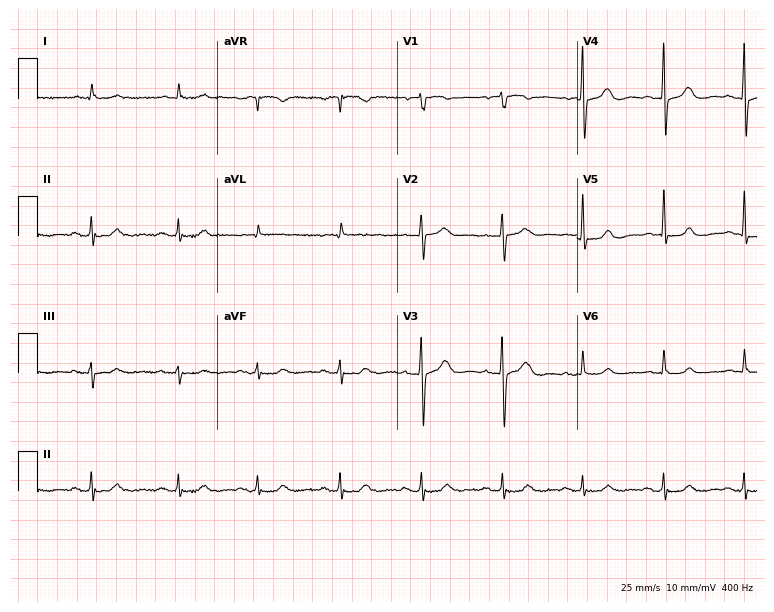
Standard 12-lead ECG recorded from a 76-year-old male. None of these six findings is recorded: first-degree AV block, right bundle branch block (RBBB), left bundle branch block (LBBB), sinus bradycardia, atrial fibrillation (AF), sinus tachycardia.